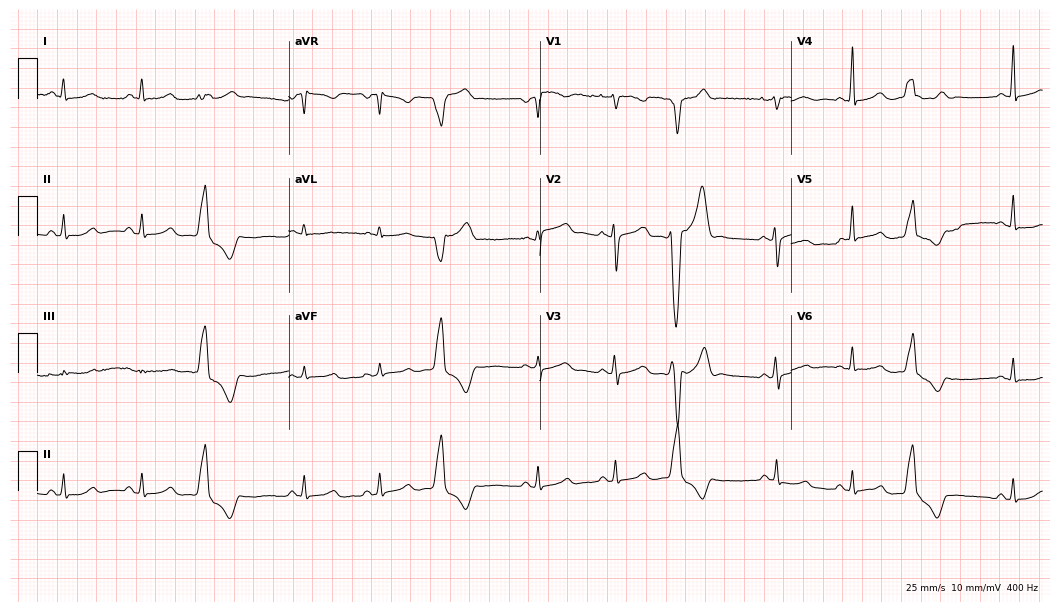
Resting 12-lead electrocardiogram (10.2-second recording at 400 Hz). Patient: a 42-year-old female. Read as a normal ECG.